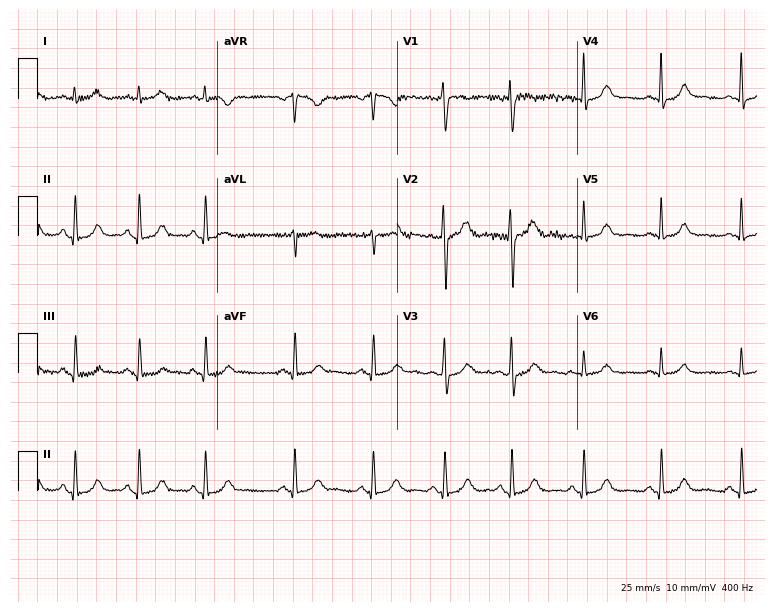
ECG — a 28-year-old woman. Labelled as a normal ECG.